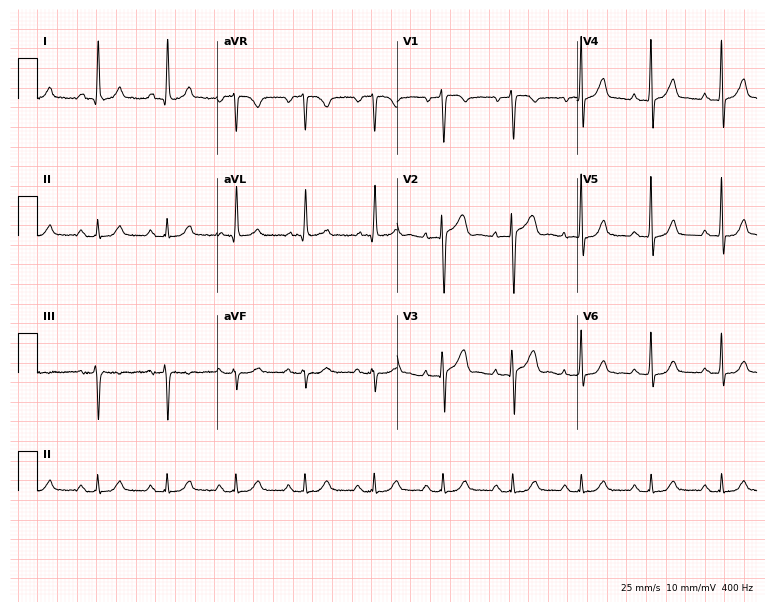
12-lead ECG from a male patient, 60 years old (7.3-second recording at 400 Hz). No first-degree AV block, right bundle branch block (RBBB), left bundle branch block (LBBB), sinus bradycardia, atrial fibrillation (AF) or sinus tachycardia recorded for this tracing.